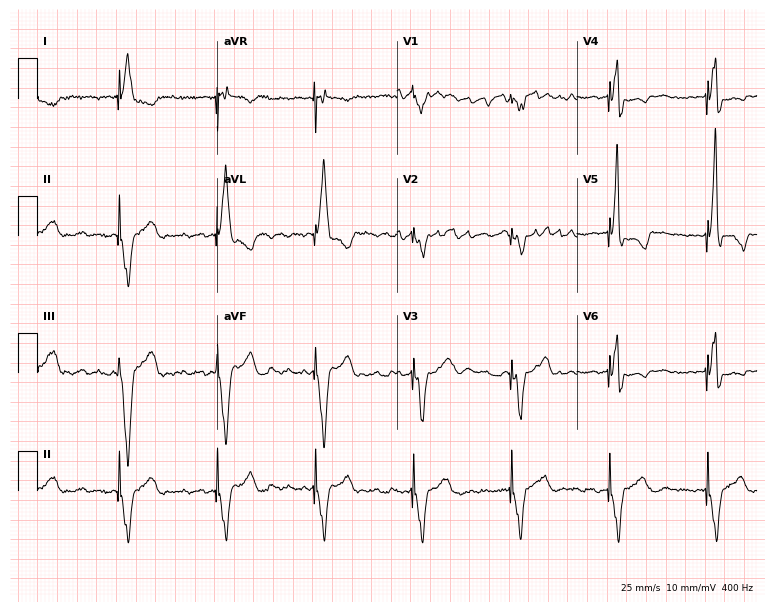
12-lead ECG from a woman, 75 years old. Screened for six findings — first-degree AV block, right bundle branch block, left bundle branch block, sinus bradycardia, atrial fibrillation, sinus tachycardia — none is recorded. Other findings, if any, are not listed.